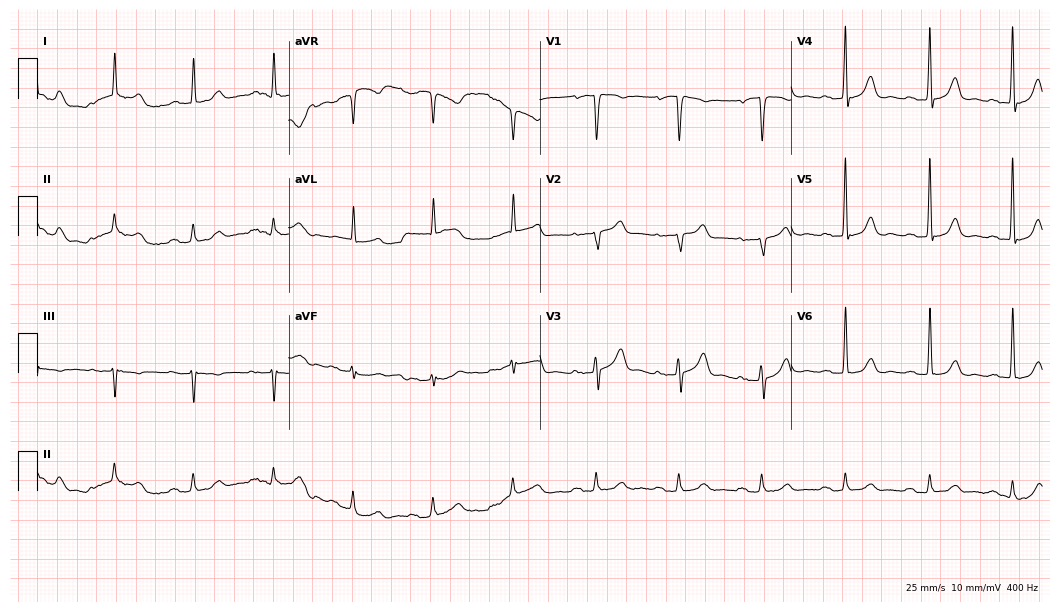
Standard 12-lead ECG recorded from an 84-year-old man. The tracing shows first-degree AV block.